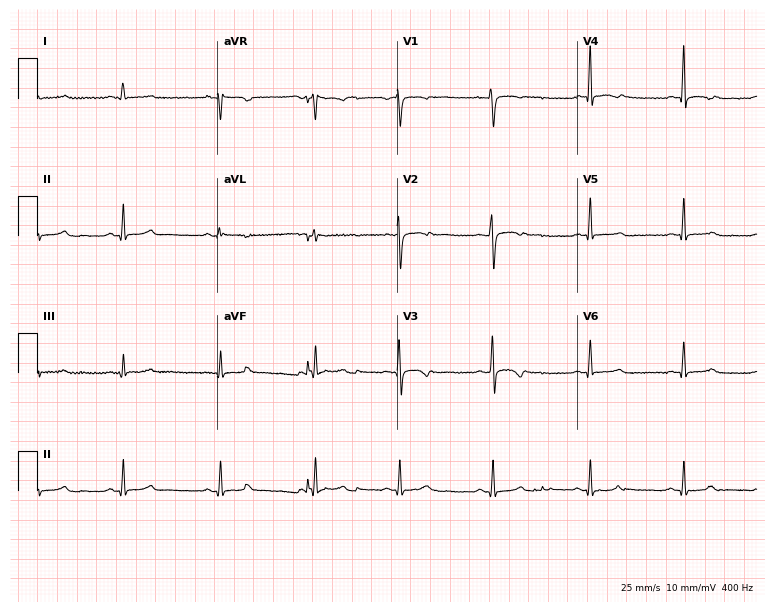
Resting 12-lead electrocardiogram (7.3-second recording at 400 Hz). Patient: a 27-year-old woman. Read as a normal ECG.